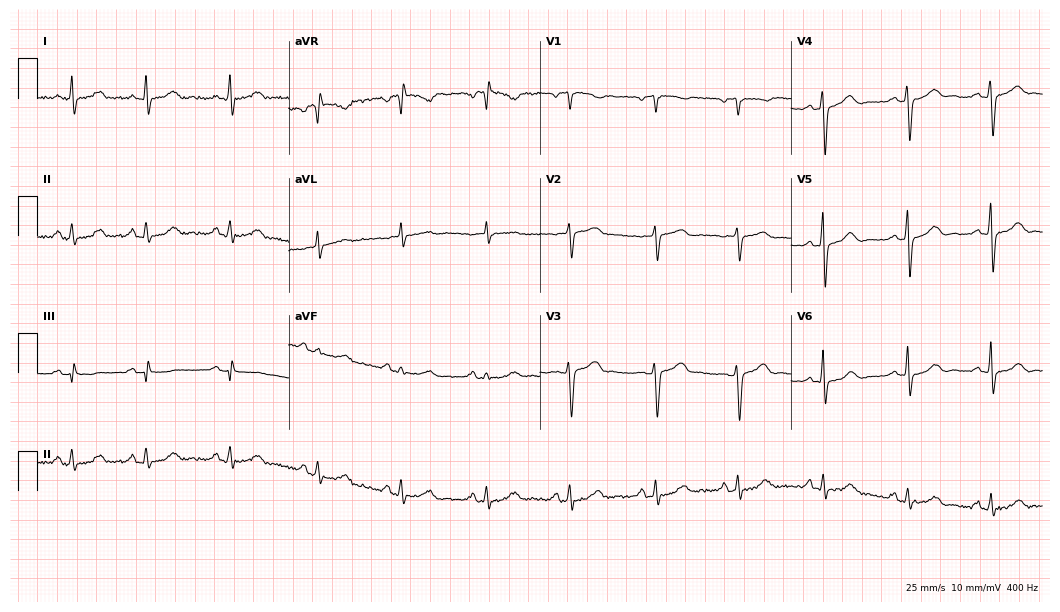
12-lead ECG (10.2-second recording at 400 Hz) from a 53-year-old female patient. Screened for six findings — first-degree AV block, right bundle branch block, left bundle branch block, sinus bradycardia, atrial fibrillation, sinus tachycardia — none is recorded.